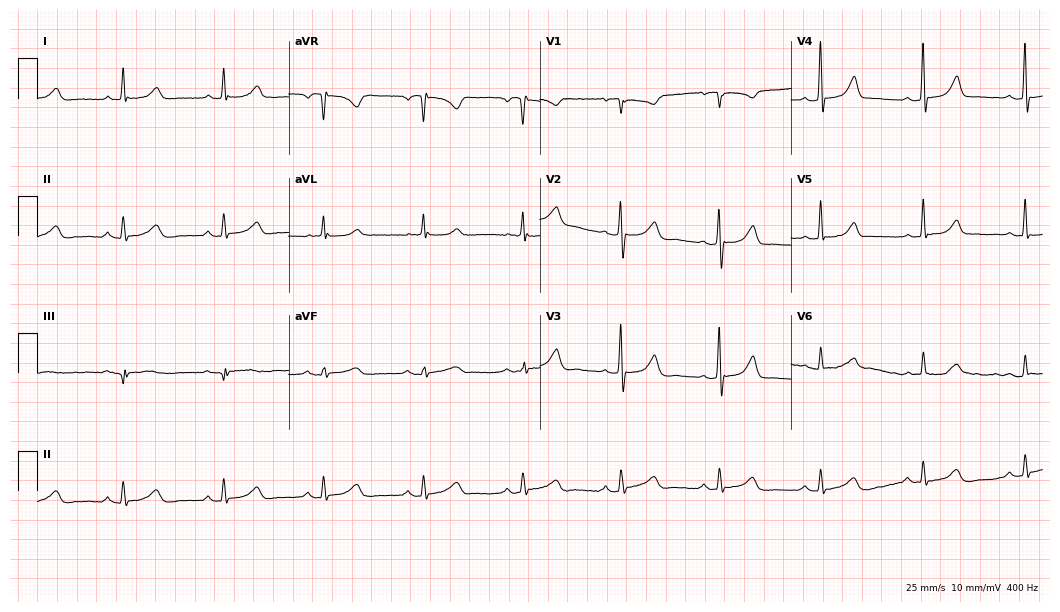
Resting 12-lead electrocardiogram. Patient: a female, 69 years old. Read as a normal ECG.